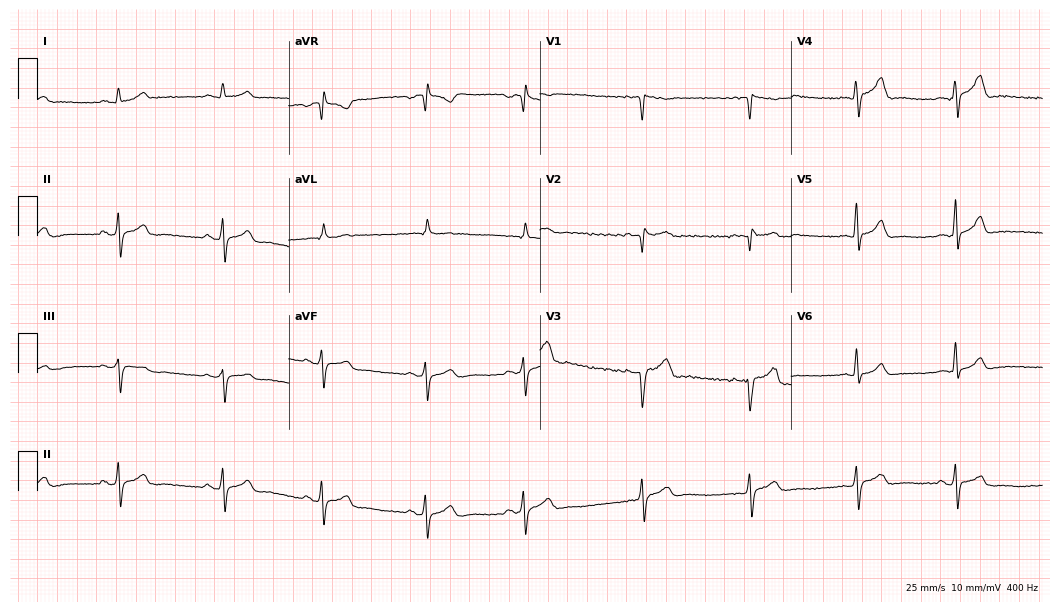
12-lead ECG from a man, 30 years old (10.2-second recording at 400 Hz). No first-degree AV block, right bundle branch block (RBBB), left bundle branch block (LBBB), sinus bradycardia, atrial fibrillation (AF) or sinus tachycardia recorded for this tracing.